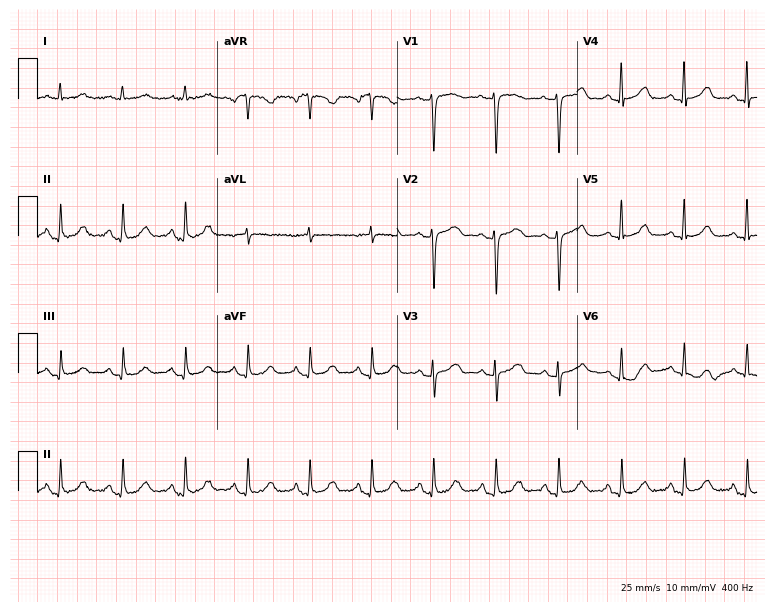
12-lead ECG (7.3-second recording at 400 Hz) from a woman, 56 years old. Labelled as a normal ECG.